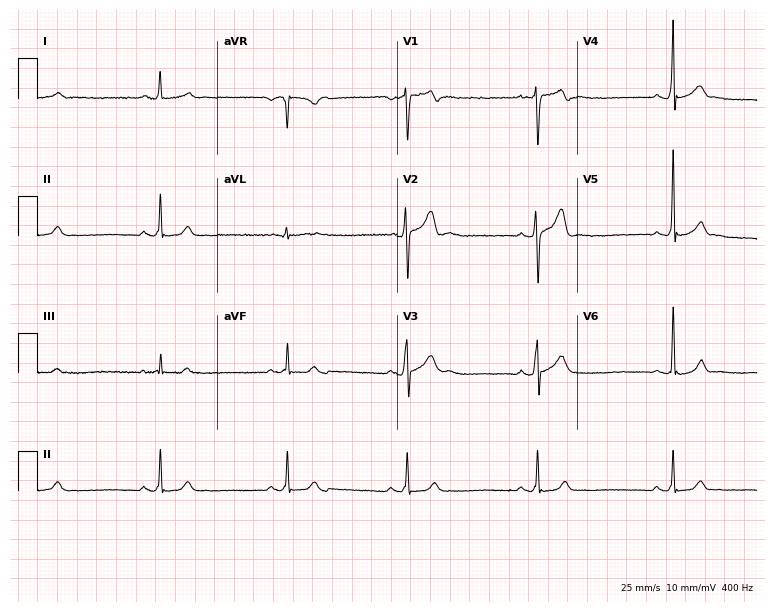
Resting 12-lead electrocardiogram (7.3-second recording at 400 Hz). Patient: a 23-year-old male. Read as a normal ECG.